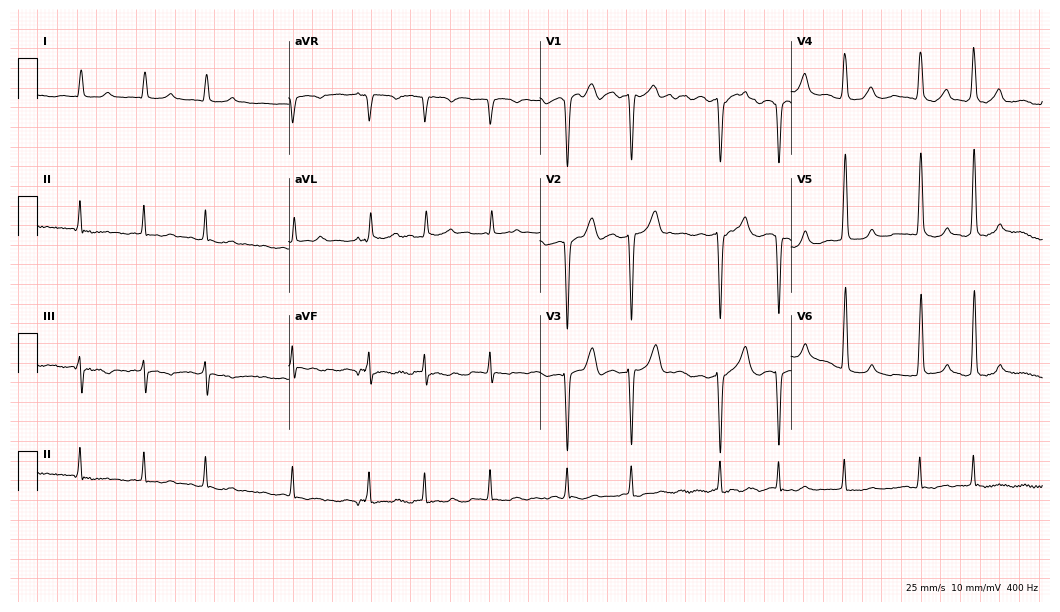
Standard 12-lead ECG recorded from a male patient, 73 years old (10.2-second recording at 400 Hz). The tracing shows atrial fibrillation.